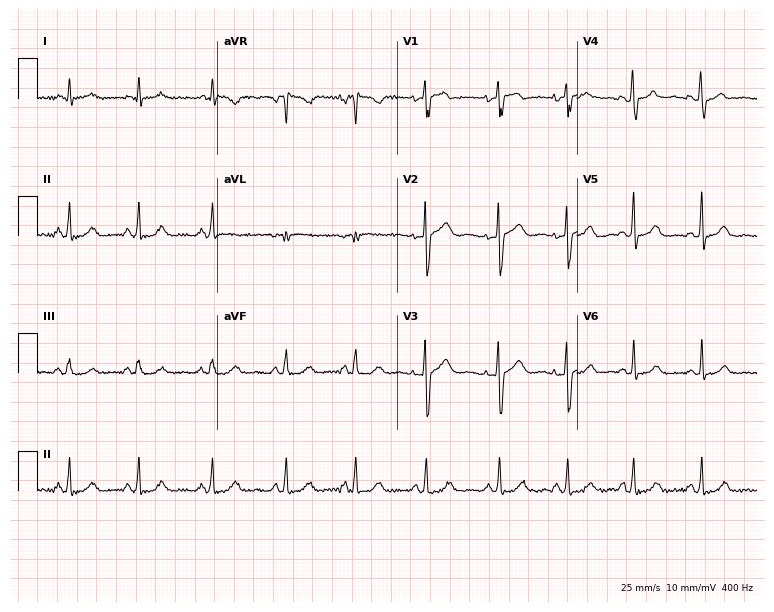
ECG — a 21-year-old woman. Labelled as a normal ECG.